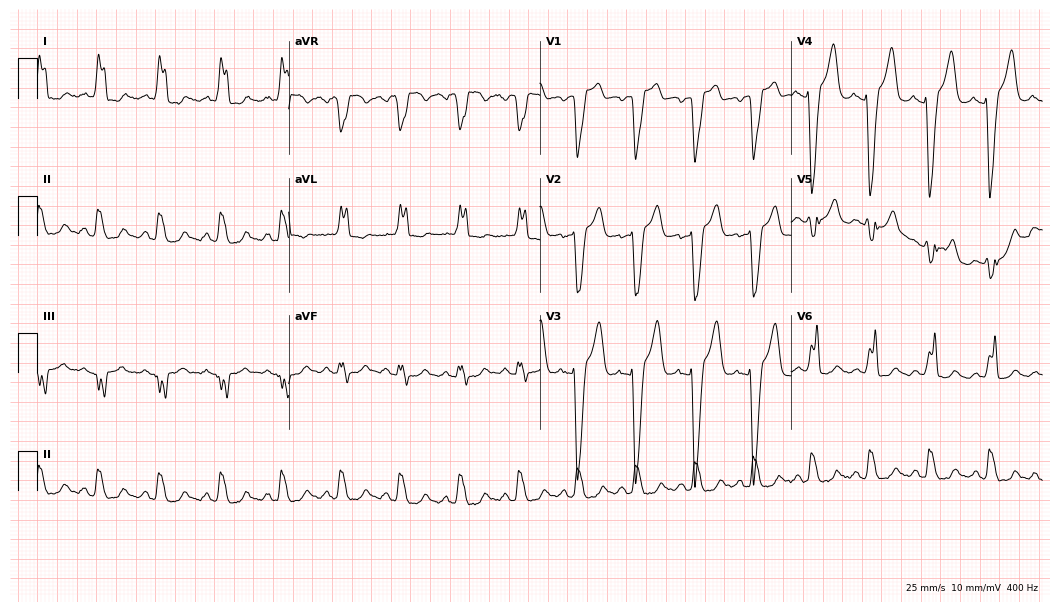
Resting 12-lead electrocardiogram (10.2-second recording at 400 Hz). Patient: a female, 46 years old. The tracing shows left bundle branch block (LBBB).